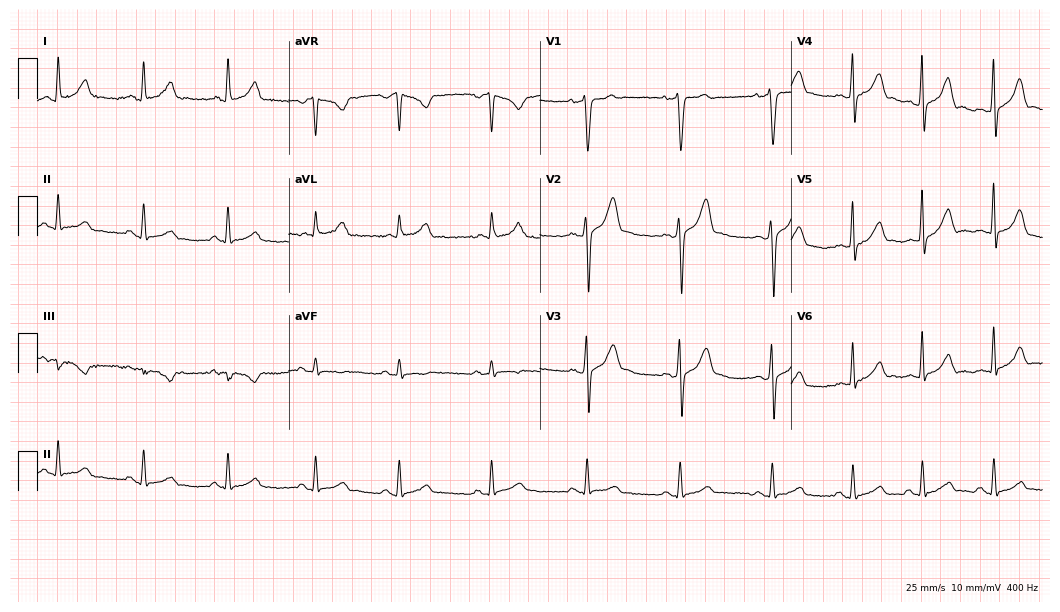
12-lead ECG from a man, 35 years old (10.2-second recording at 400 Hz). Recorded interpretation: within normal limits.